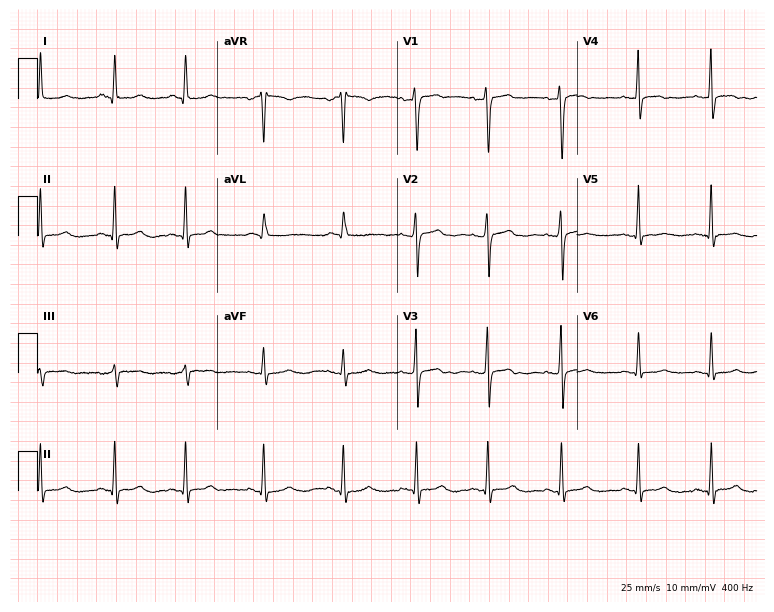
ECG (7.3-second recording at 400 Hz) — a female, 73 years old. Screened for six findings — first-degree AV block, right bundle branch block, left bundle branch block, sinus bradycardia, atrial fibrillation, sinus tachycardia — none is recorded.